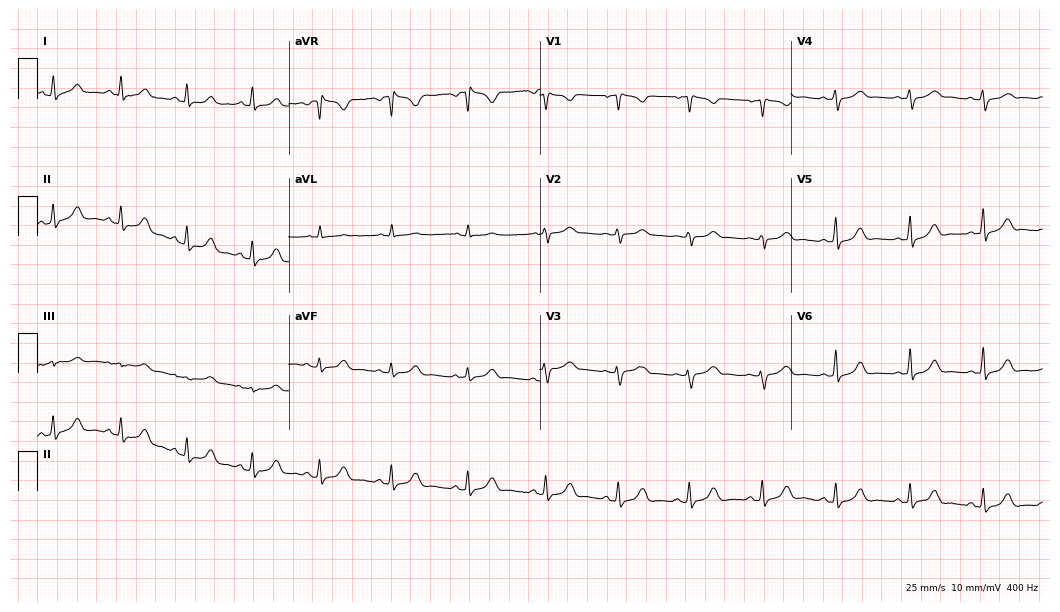
12-lead ECG from a 23-year-old female. Recorded interpretation: within normal limits.